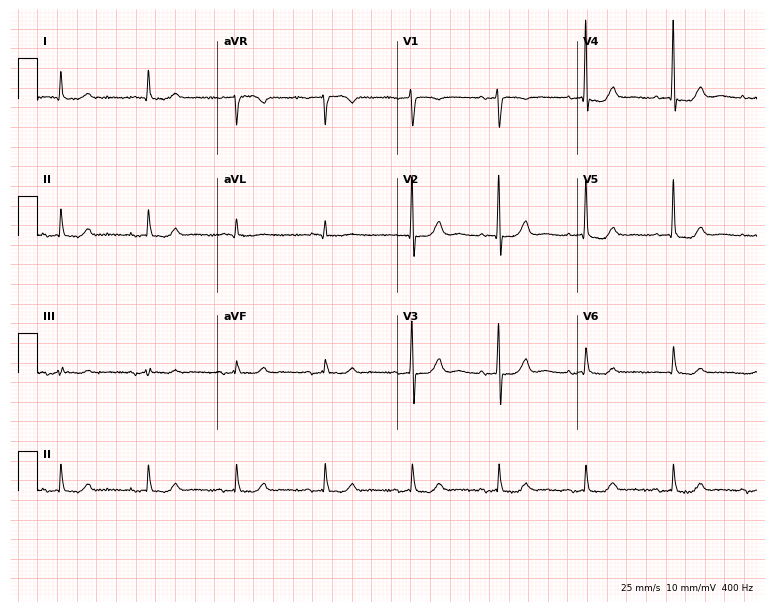
Standard 12-lead ECG recorded from a woman, 69 years old (7.3-second recording at 400 Hz). None of these six findings is recorded: first-degree AV block, right bundle branch block, left bundle branch block, sinus bradycardia, atrial fibrillation, sinus tachycardia.